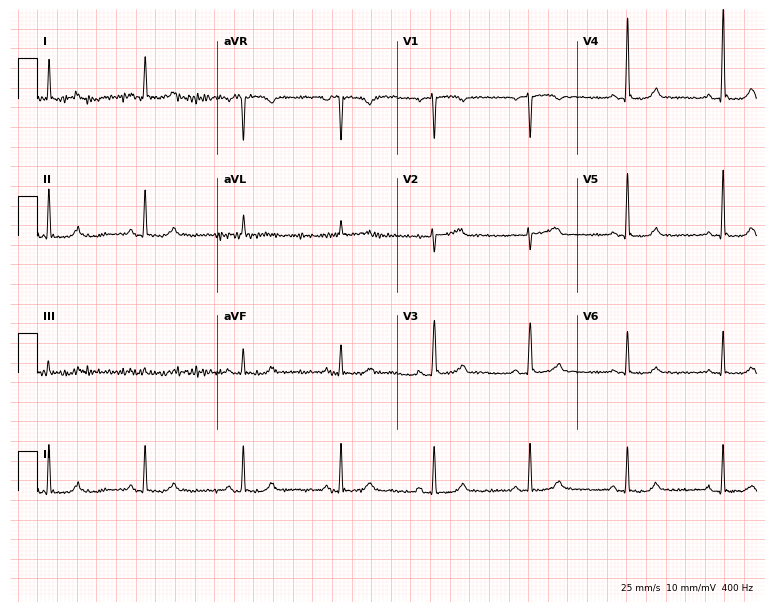
ECG — a 59-year-old female. Screened for six findings — first-degree AV block, right bundle branch block, left bundle branch block, sinus bradycardia, atrial fibrillation, sinus tachycardia — none is recorded. Only these six findings were labelled.